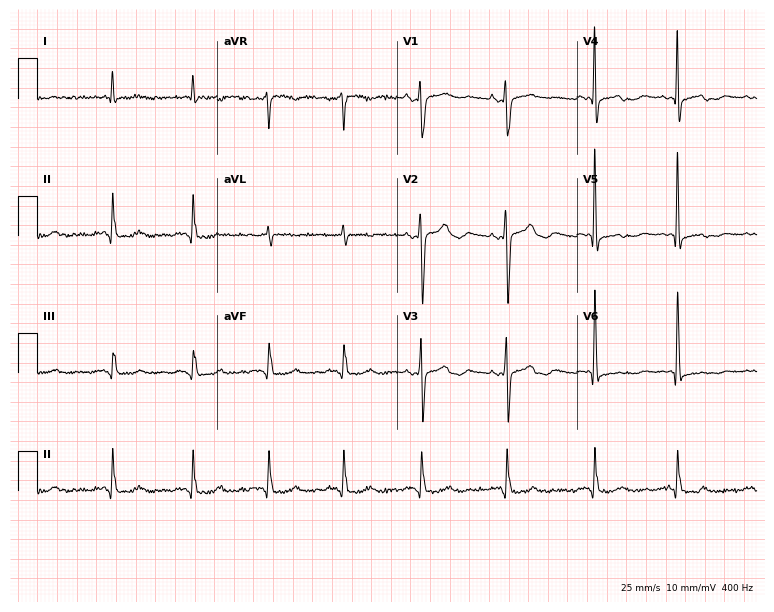
Electrocardiogram (7.3-second recording at 400 Hz), an 80-year-old man. Of the six screened findings (first-degree AV block, right bundle branch block, left bundle branch block, sinus bradycardia, atrial fibrillation, sinus tachycardia), none is recorded.